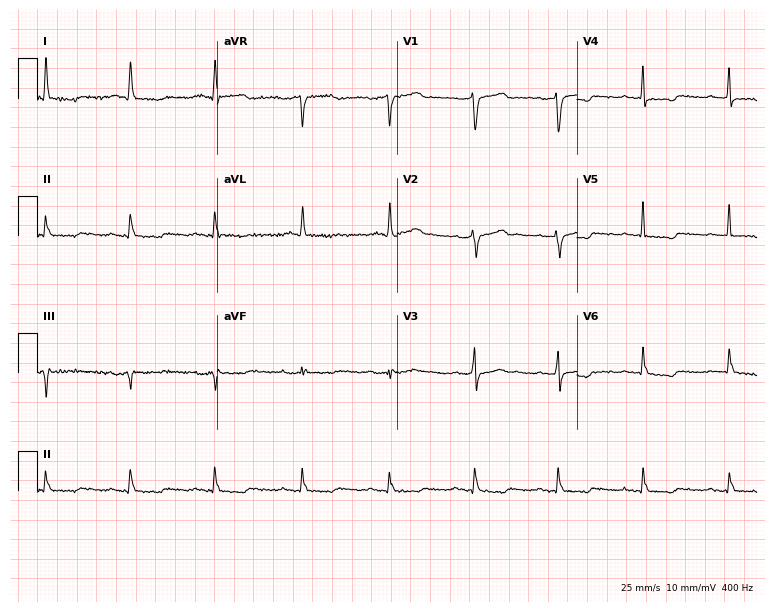
Resting 12-lead electrocardiogram. Patient: a female, 65 years old. None of these six findings is recorded: first-degree AV block, right bundle branch block (RBBB), left bundle branch block (LBBB), sinus bradycardia, atrial fibrillation (AF), sinus tachycardia. Only these six findings were labelled.